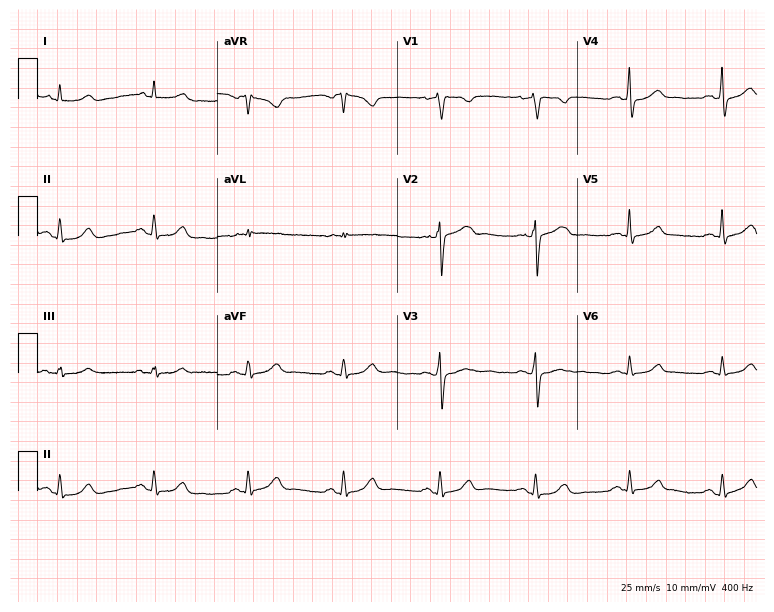
12-lead ECG from a 69-year-old man (7.3-second recording at 400 Hz). Recorded interpretation: within normal limits.